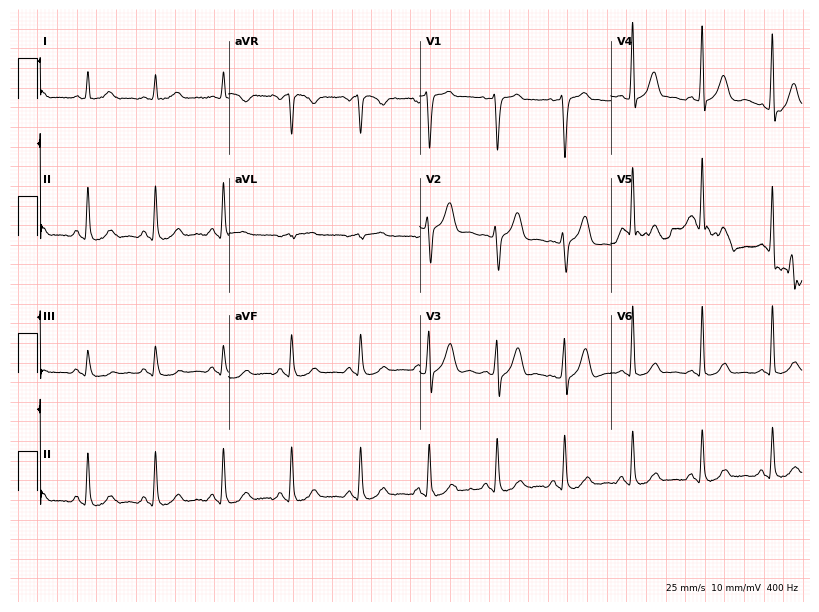
ECG (7.8-second recording at 400 Hz) — a 64-year-old male. Labelled as a normal ECG.